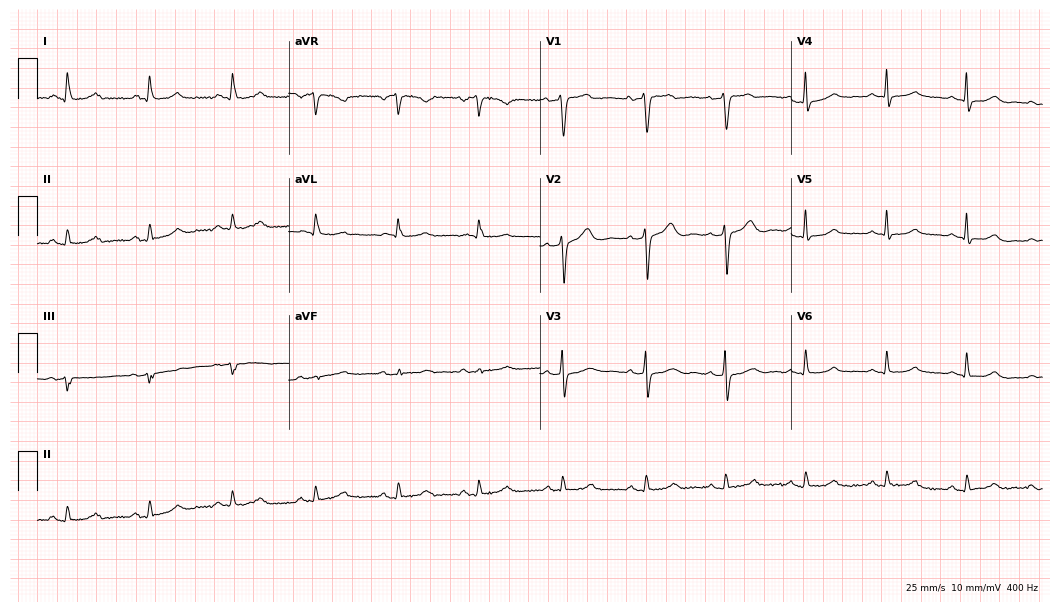
Resting 12-lead electrocardiogram (10.2-second recording at 400 Hz). Patient: a woman, 44 years old. None of these six findings is recorded: first-degree AV block, right bundle branch block, left bundle branch block, sinus bradycardia, atrial fibrillation, sinus tachycardia.